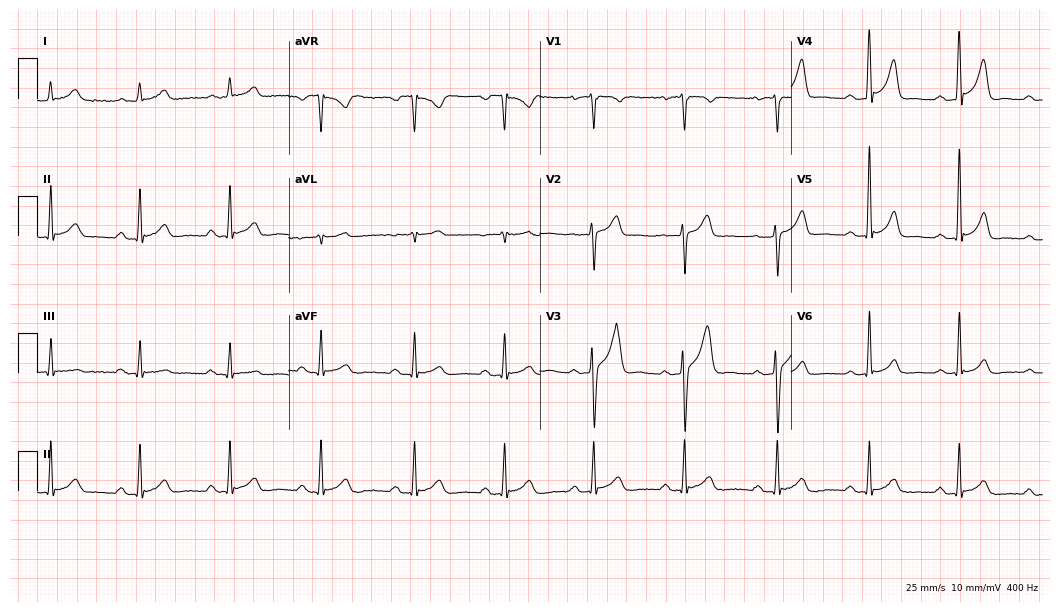
Standard 12-lead ECG recorded from a male, 51 years old (10.2-second recording at 400 Hz). The tracing shows first-degree AV block.